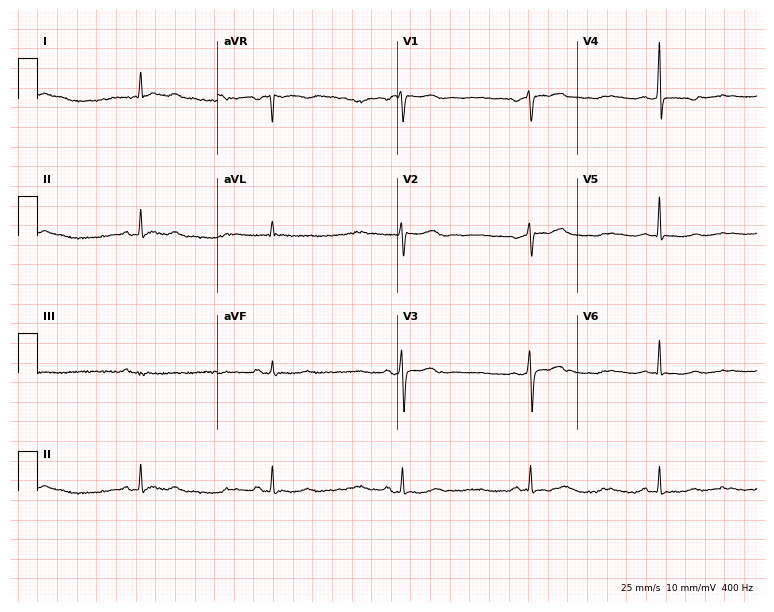
Electrocardiogram, a 56-year-old female patient. Interpretation includes sinus bradycardia (a sinus rate of 50 beats per minute or less).